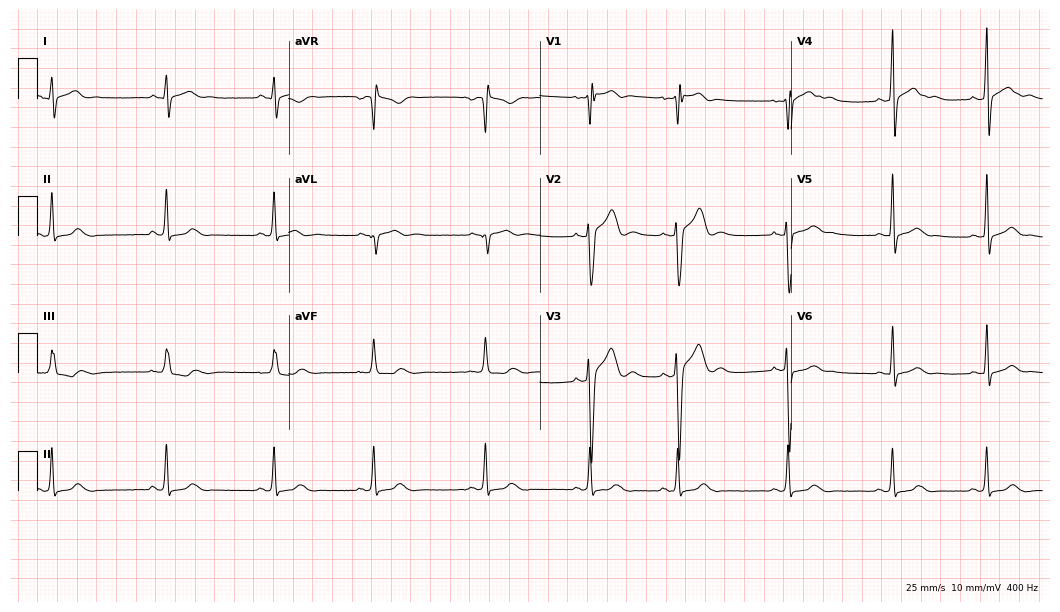
Standard 12-lead ECG recorded from a 22-year-old male (10.2-second recording at 400 Hz). Read as a normal ECG.